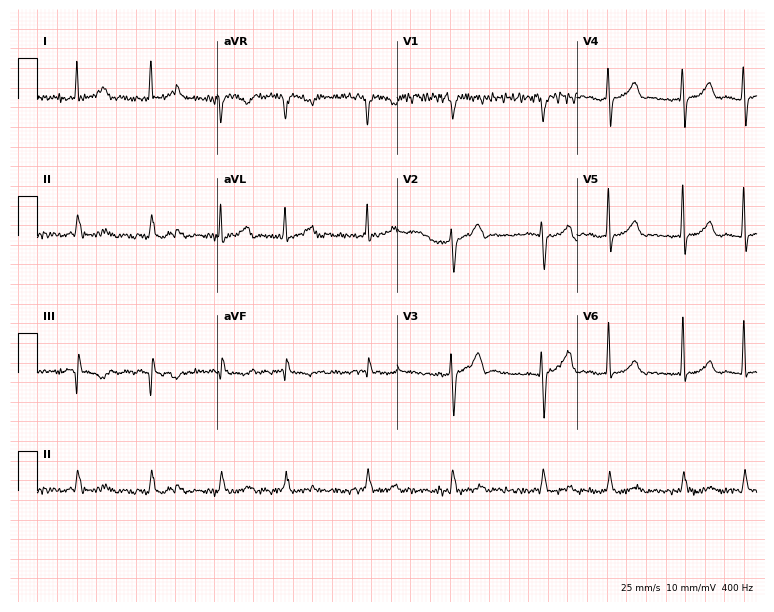
Electrocardiogram, a male patient, 69 years old. Interpretation includes atrial fibrillation.